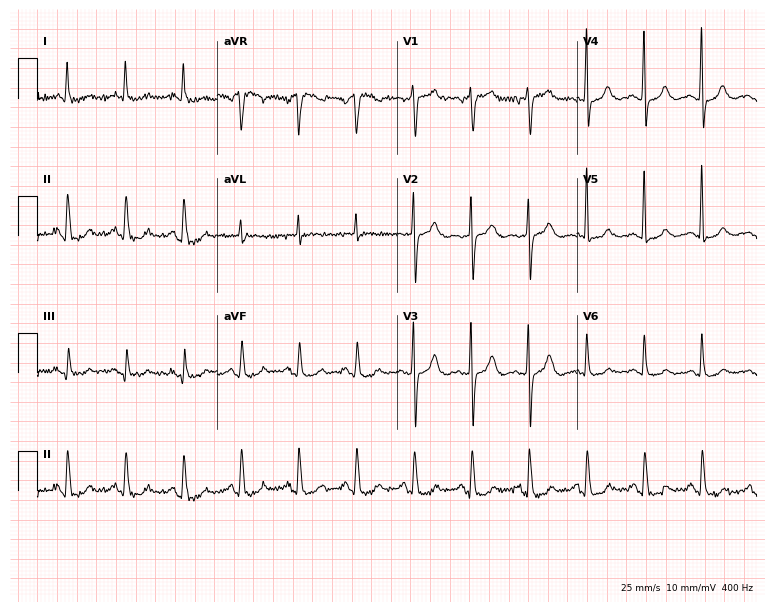
Standard 12-lead ECG recorded from a female patient, 82 years old (7.3-second recording at 400 Hz). The tracing shows sinus tachycardia (a sinus rate of 100 beats per minute or more).